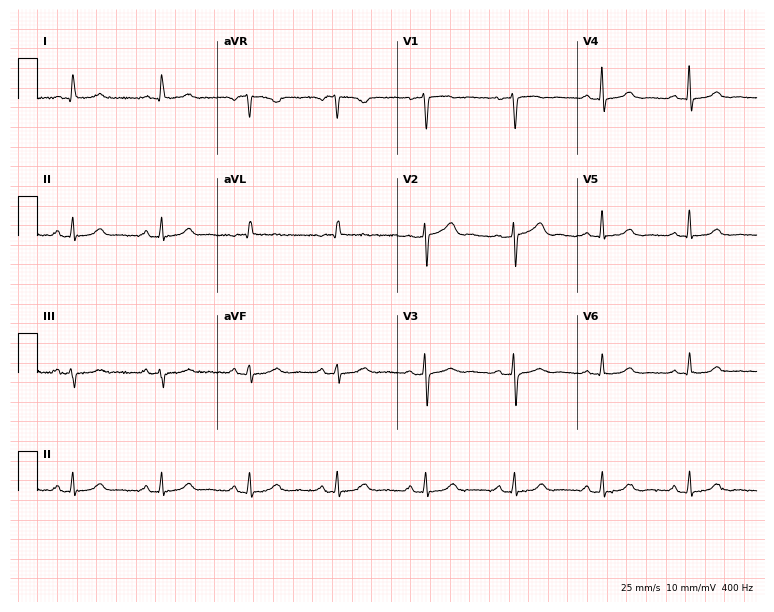
Resting 12-lead electrocardiogram (7.3-second recording at 400 Hz). Patient: a female, 73 years old. Read as a normal ECG.